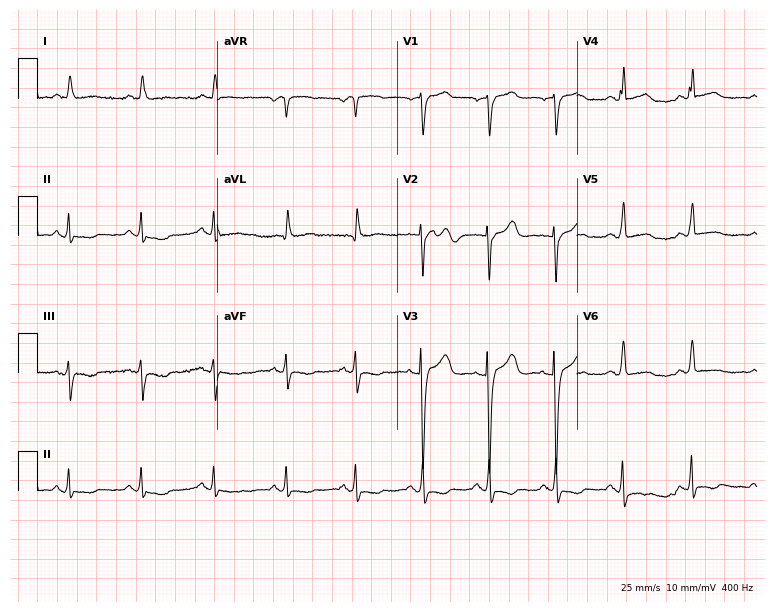
Standard 12-lead ECG recorded from a female patient, 69 years old. None of these six findings is recorded: first-degree AV block, right bundle branch block (RBBB), left bundle branch block (LBBB), sinus bradycardia, atrial fibrillation (AF), sinus tachycardia.